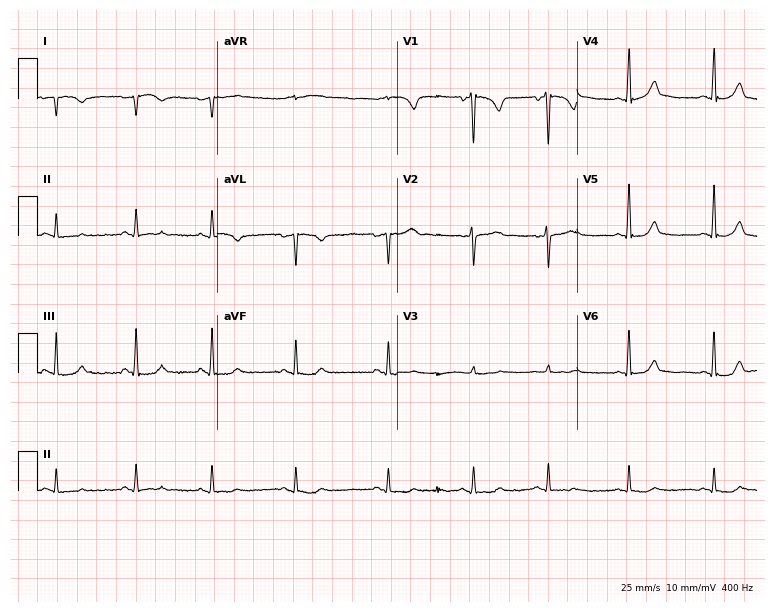
Resting 12-lead electrocardiogram (7.3-second recording at 400 Hz). Patient: a female, 22 years old. None of these six findings is recorded: first-degree AV block, right bundle branch block (RBBB), left bundle branch block (LBBB), sinus bradycardia, atrial fibrillation (AF), sinus tachycardia. Other findings, if any, are not listed.